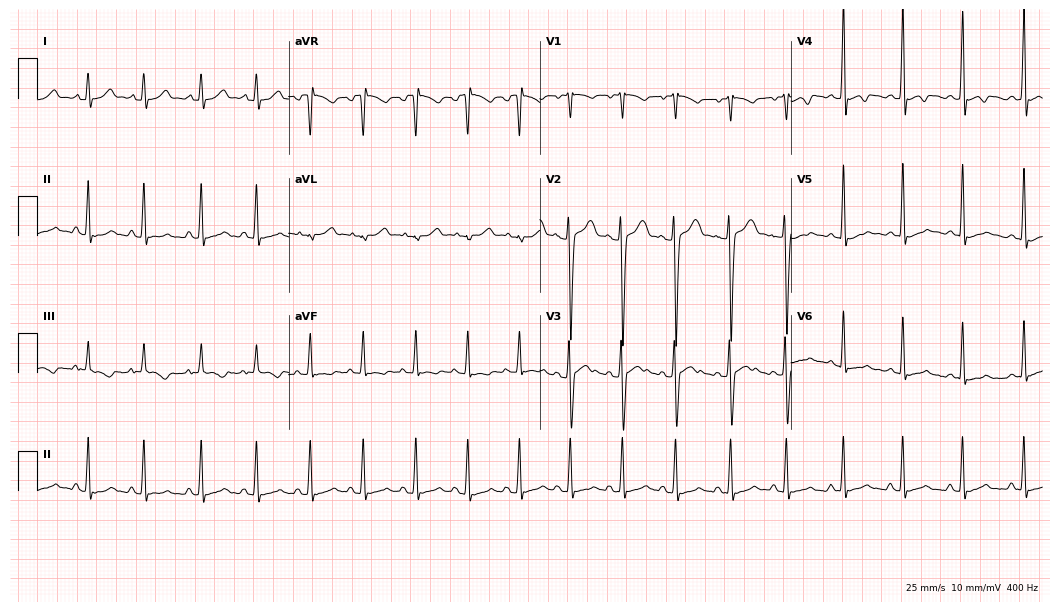
12-lead ECG from a male, 17 years old. Findings include sinus tachycardia (a sinus rate of 100 beats per minute or more).